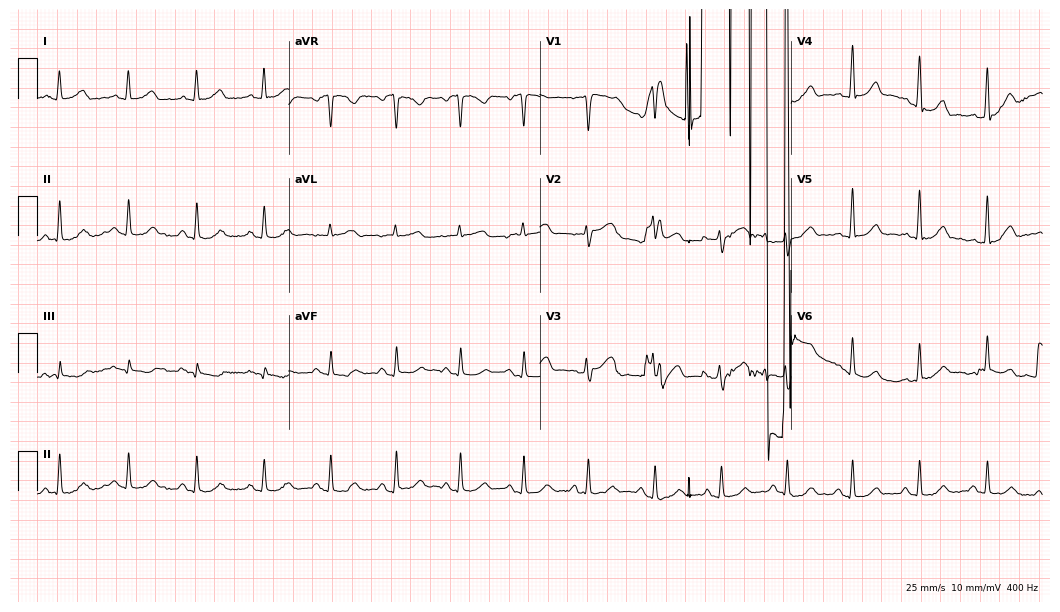
12-lead ECG from a female patient, 58 years old. No first-degree AV block, right bundle branch block, left bundle branch block, sinus bradycardia, atrial fibrillation or sinus tachycardia recorded for this tracing.